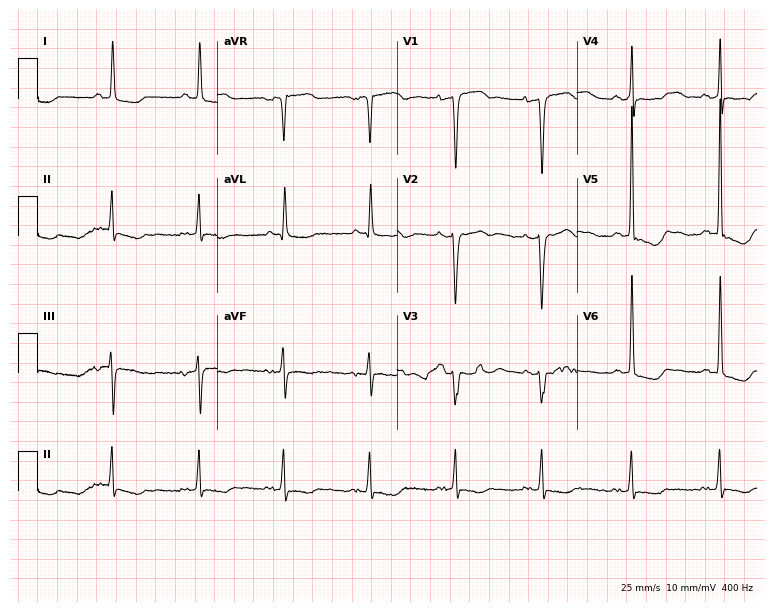
Standard 12-lead ECG recorded from a female patient, 64 years old (7.3-second recording at 400 Hz). None of these six findings is recorded: first-degree AV block, right bundle branch block, left bundle branch block, sinus bradycardia, atrial fibrillation, sinus tachycardia. Findings outside these six are not listed.